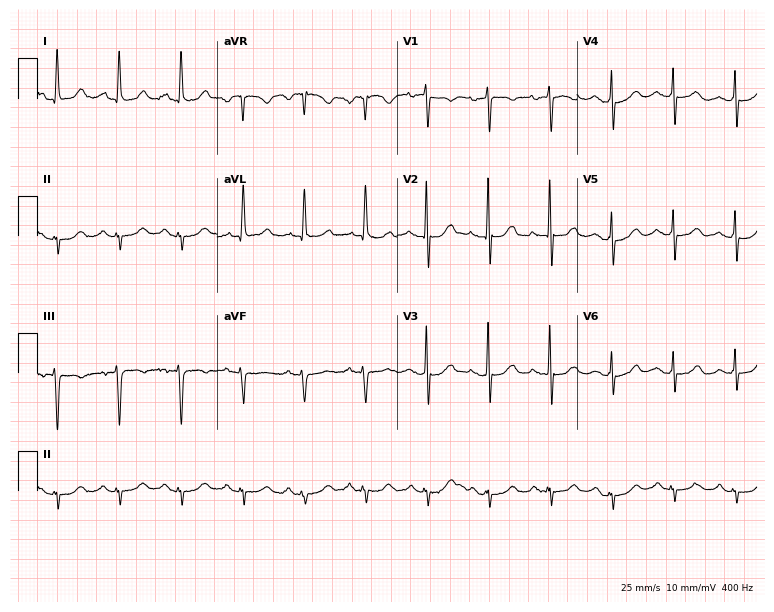
Electrocardiogram, a 74-year-old female patient. Of the six screened findings (first-degree AV block, right bundle branch block, left bundle branch block, sinus bradycardia, atrial fibrillation, sinus tachycardia), none is recorded.